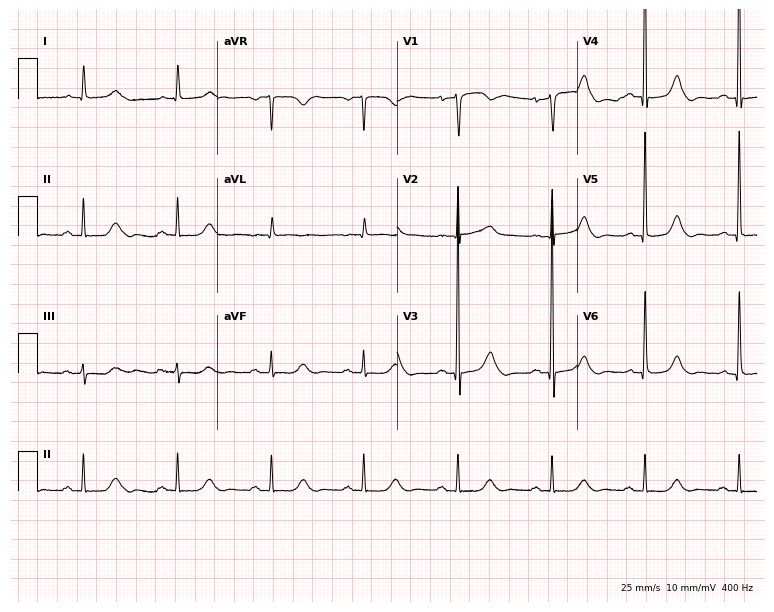
Resting 12-lead electrocardiogram (7.3-second recording at 400 Hz). Patient: an 82-year-old female. None of these six findings is recorded: first-degree AV block, right bundle branch block (RBBB), left bundle branch block (LBBB), sinus bradycardia, atrial fibrillation (AF), sinus tachycardia. Other findings, if any, are not listed.